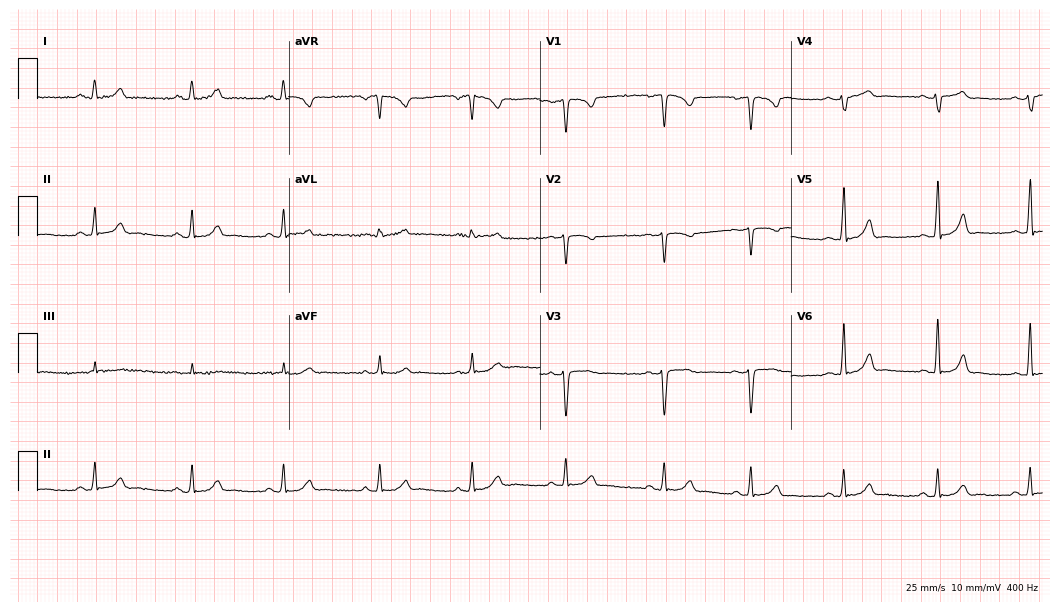
Resting 12-lead electrocardiogram (10.2-second recording at 400 Hz). Patient: a female, 20 years old. None of these six findings is recorded: first-degree AV block, right bundle branch block (RBBB), left bundle branch block (LBBB), sinus bradycardia, atrial fibrillation (AF), sinus tachycardia.